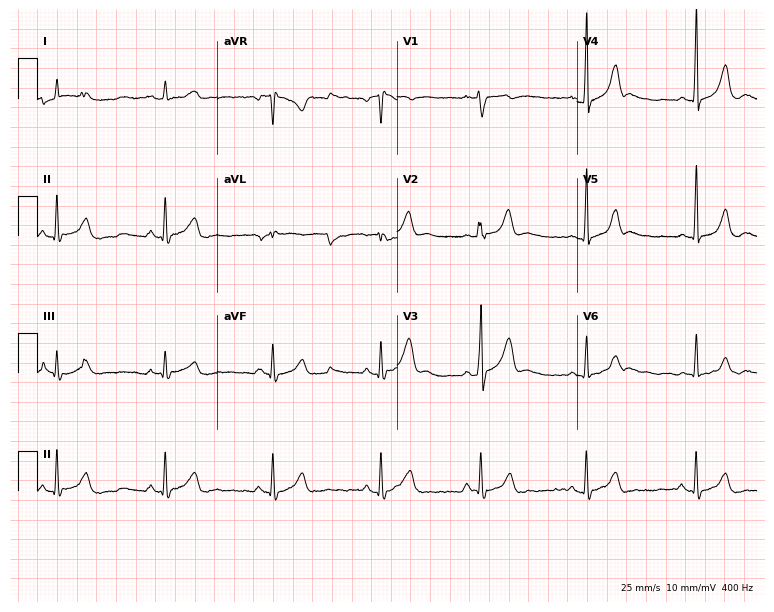
12-lead ECG (7.3-second recording at 400 Hz) from a man, 29 years old. Labelled as a normal ECG.